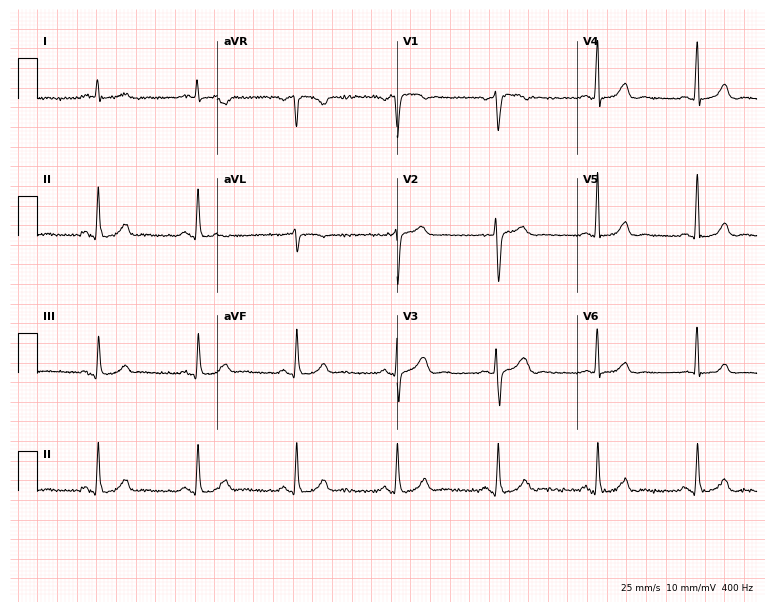
ECG — a 62-year-old male. Screened for six findings — first-degree AV block, right bundle branch block, left bundle branch block, sinus bradycardia, atrial fibrillation, sinus tachycardia — none is recorded.